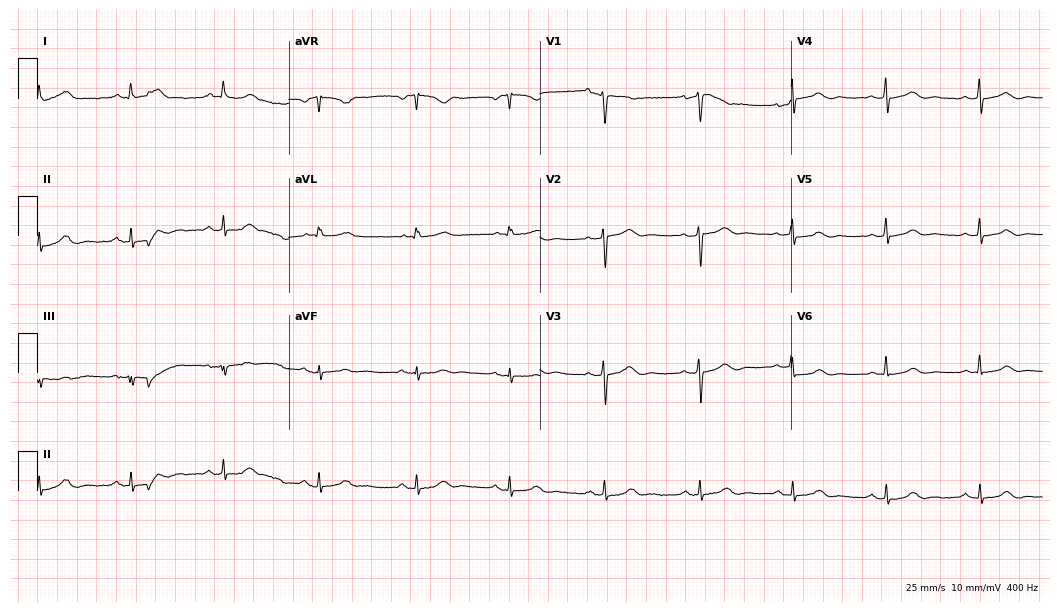
Electrocardiogram, a 48-year-old female. Of the six screened findings (first-degree AV block, right bundle branch block, left bundle branch block, sinus bradycardia, atrial fibrillation, sinus tachycardia), none is recorded.